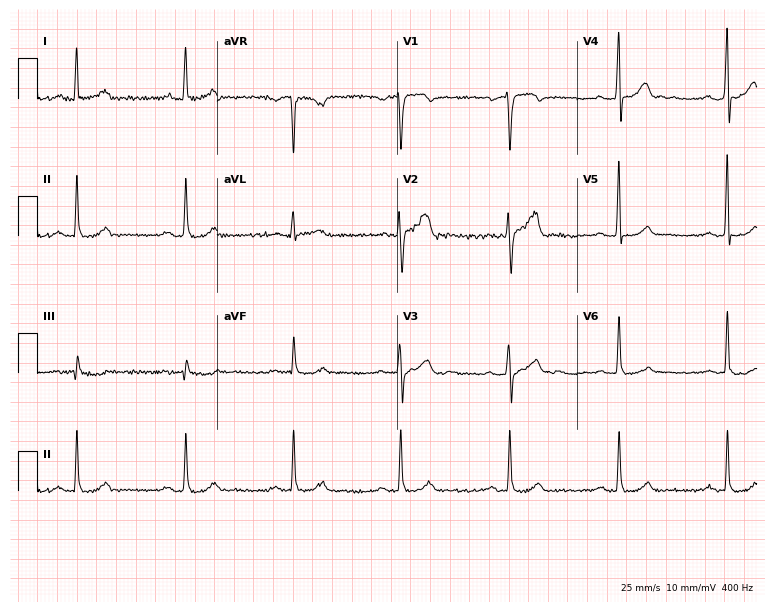
Standard 12-lead ECG recorded from a male, 46 years old (7.3-second recording at 400 Hz). Read as a normal ECG.